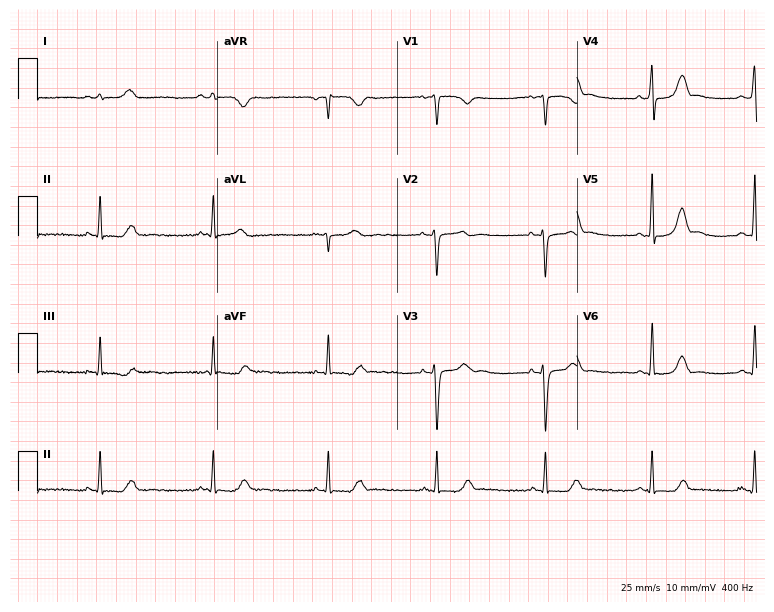
12-lead ECG (7.3-second recording at 400 Hz) from a 29-year-old female patient. Screened for six findings — first-degree AV block, right bundle branch block, left bundle branch block, sinus bradycardia, atrial fibrillation, sinus tachycardia — none is recorded. Only these six findings were labelled.